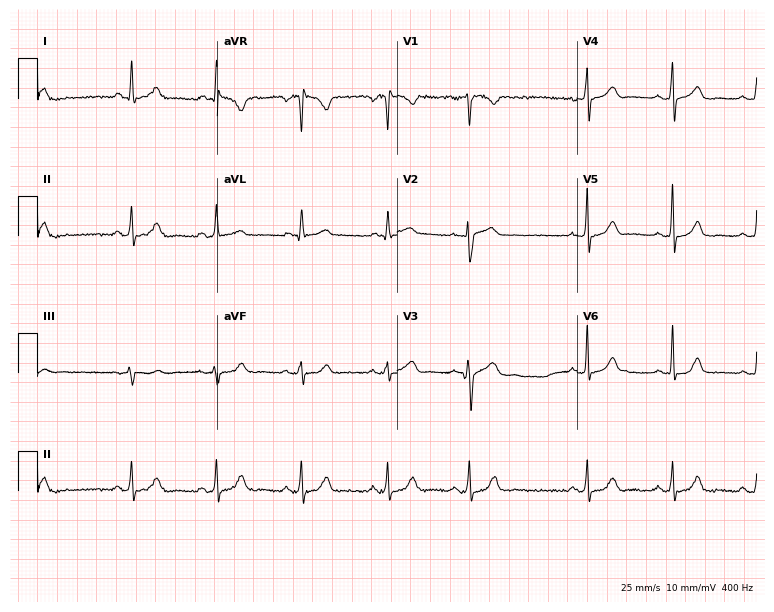
Resting 12-lead electrocardiogram (7.3-second recording at 400 Hz). Patient: a female, 34 years old. Read as a normal ECG.